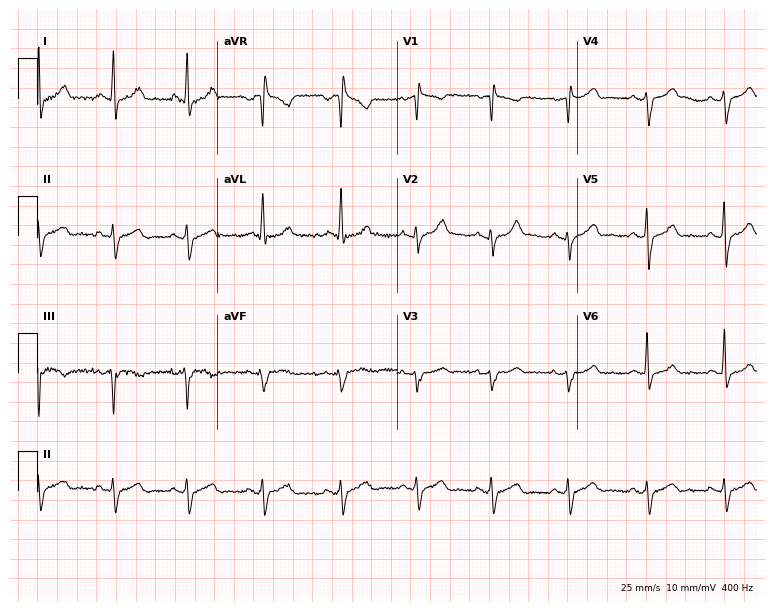
ECG — a man, 36 years old. Screened for six findings — first-degree AV block, right bundle branch block (RBBB), left bundle branch block (LBBB), sinus bradycardia, atrial fibrillation (AF), sinus tachycardia — none is recorded. Only these six findings were labelled.